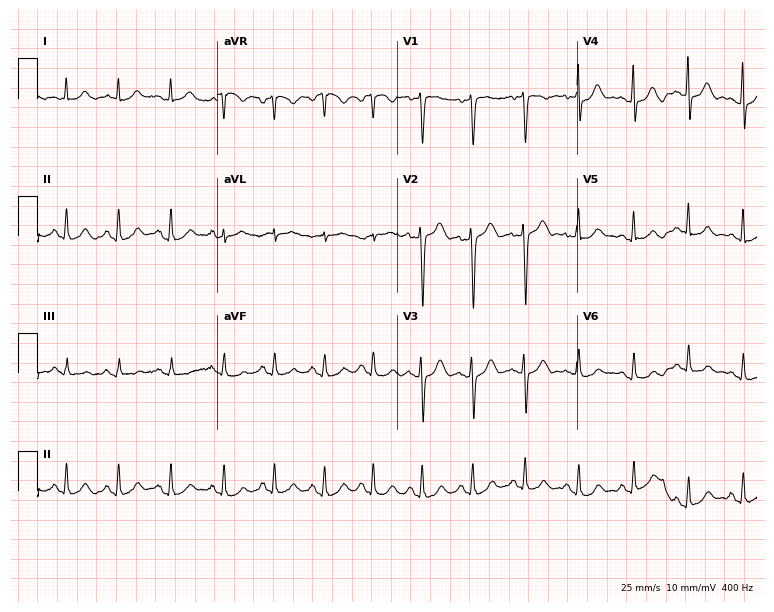
Standard 12-lead ECG recorded from a 48-year-old female. The tracing shows sinus tachycardia (a sinus rate of 100 beats per minute or more).